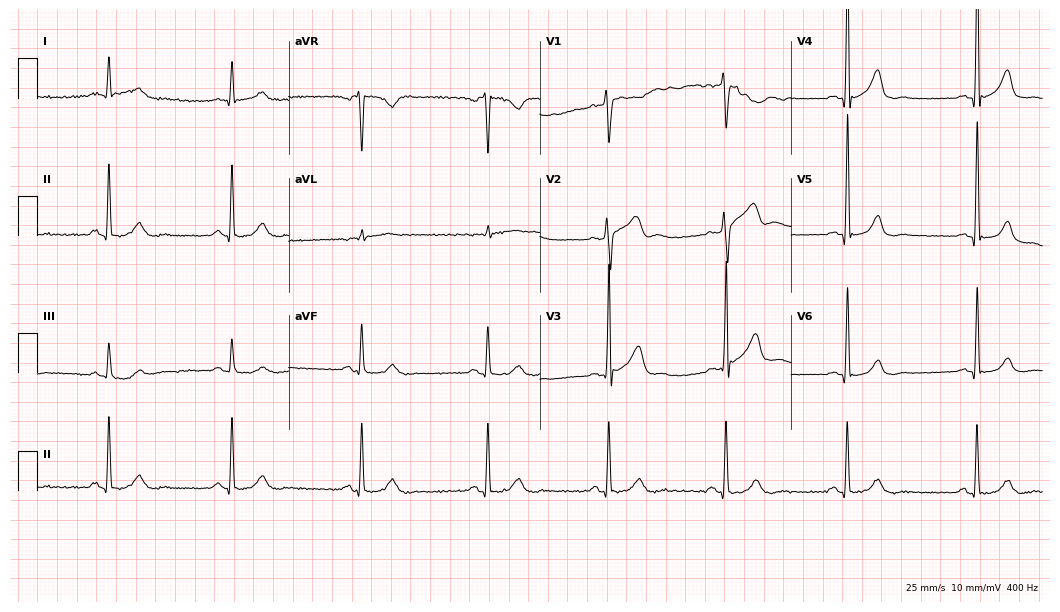
Resting 12-lead electrocardiogram (10.2-second recording at 400 Hz). Patient: a man, 51 years old. The tracing shows sinus bradycardia (a sinus rate of 50 beats per minute or less).